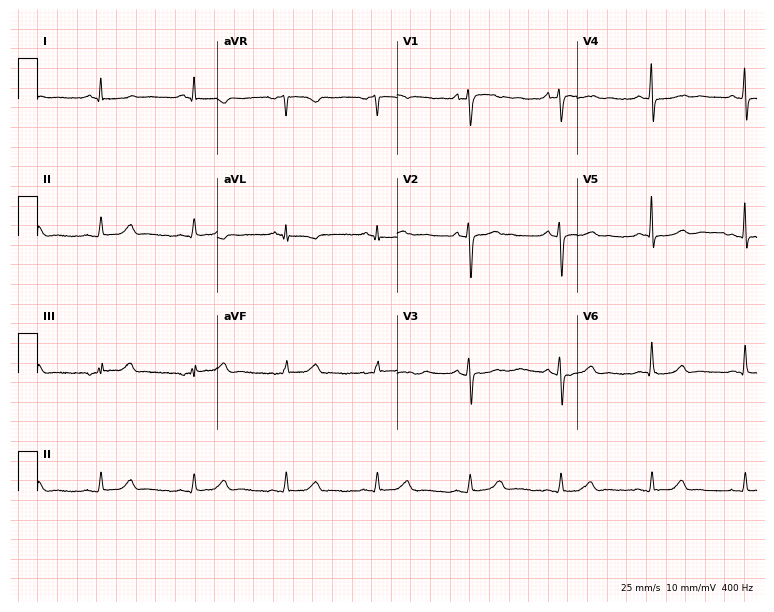
12-lead ECG from a woman, 52 years old. Screened for six findings — first-degree AV block, right bundle branch block (RBBB), left bundle branch block (LBBB), sinus bradycardia, atrial fibrillation (AF), sinus tachycardia — none is recorded.